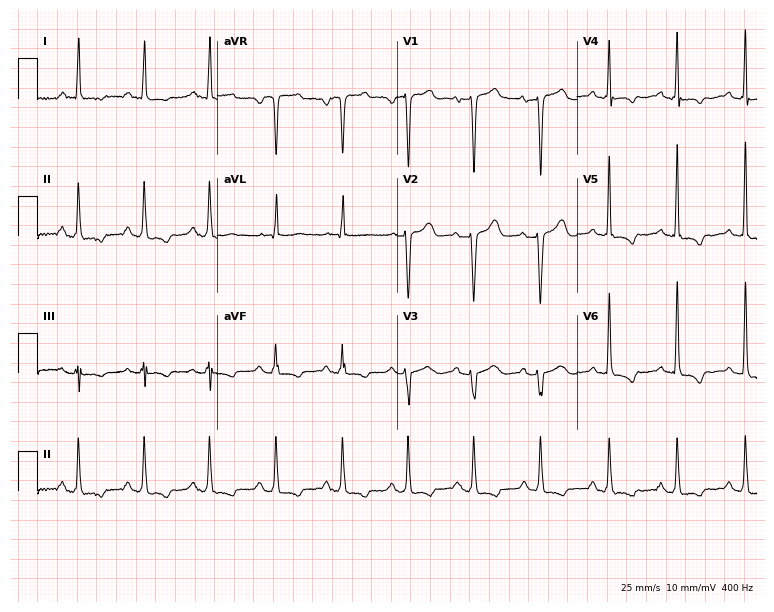
Resting 12-lead electrocardiogram. Patient: a female, 48 years old. None of these six findings is recorded: first-degree AV block, right bundle branch block, left bundle branch block, sinus bradycardia, atrial fibrillation, sinus tachycardia.